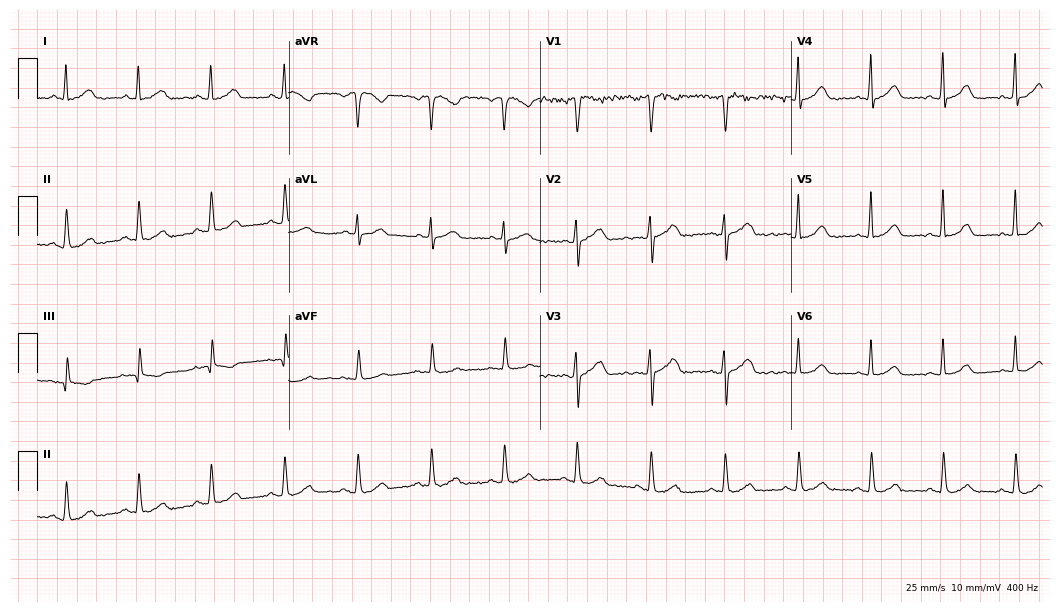
ECG (10.2-second recording at 400 Hz) — a female patient, 62 years old. Labelled as a normal ECG.